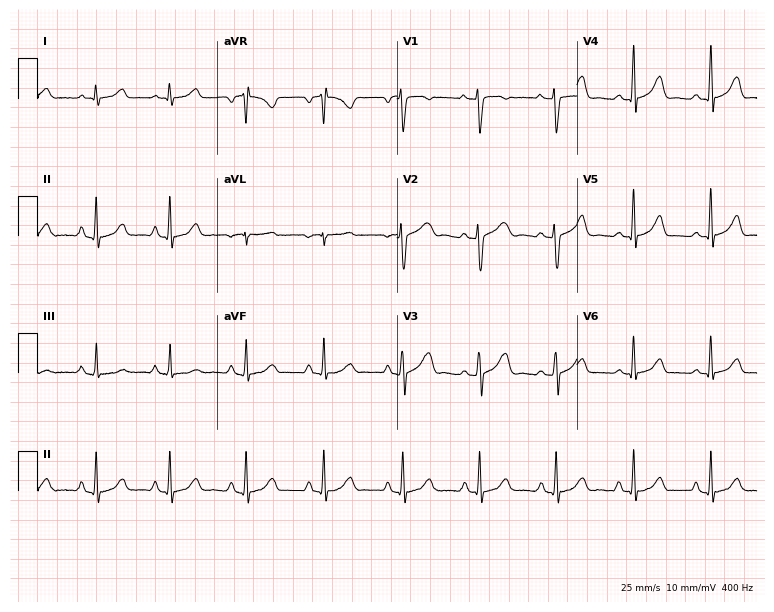
Electrocardiogram (7.3-second recording at 400 Hz), a female, 30 years old. Of the six screened findings (first-degree AV block, right bundle branch block, left bundle branch block, sinus bradycardia, atrial fibrillation, sinus tachycardia), none is recorded. Only these six findings were labelled.